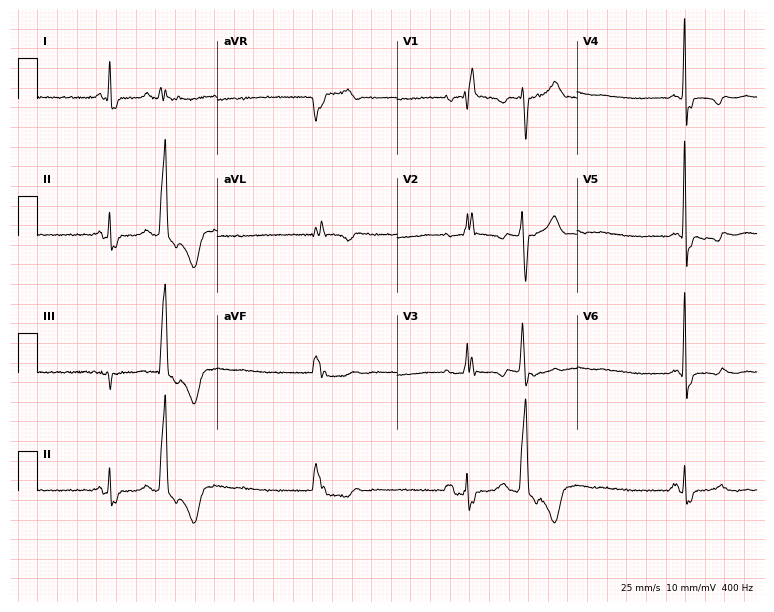
ECG (7.3-second recording at 400 Hz) — a 58-year-old woman. Screened for six findings — first-degree AV block, right bundle branch block, left bundle branch block, sinus bradycardia, atrial fibrillation, sinus tachycardia — none is recorded. Other findings, if any, are not listed.